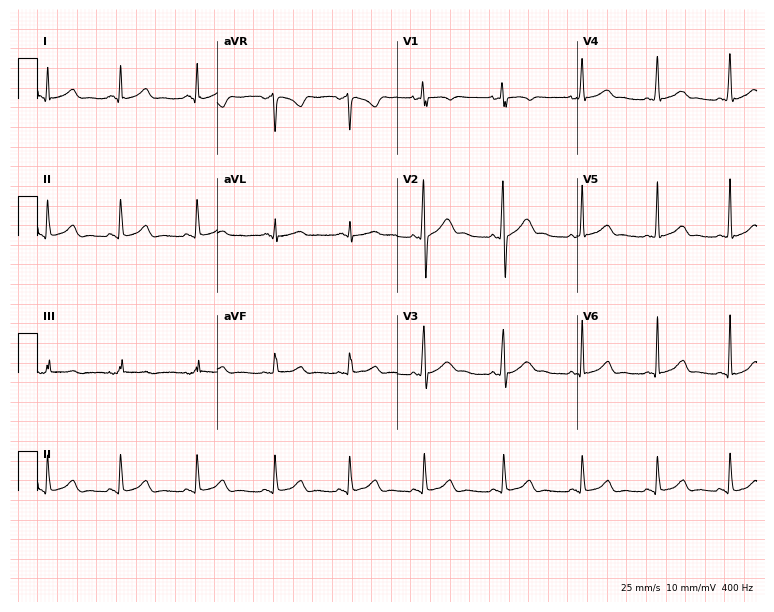
12-lead ECG (7.3-second recording at 400 Hz) from a 22-year-old female patient. Labelled as a normal ECG.